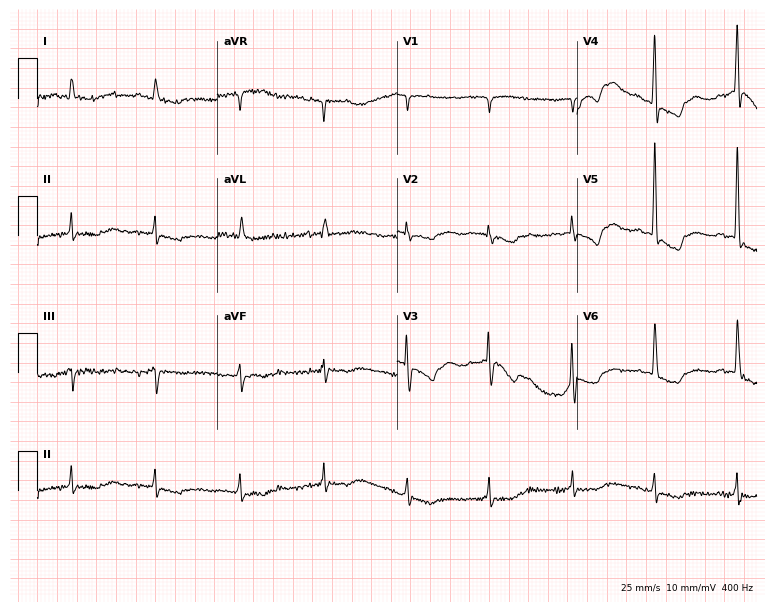
12-lead ECG (7.3-second recording at 400 Hz) from an 82-year-old woman. Screened for six findings — first-degree AV block, right bundle branch block, left bundle branch block, sinus bradycardia, atrial fibrillation, sinus tachycardia — none is recorded.